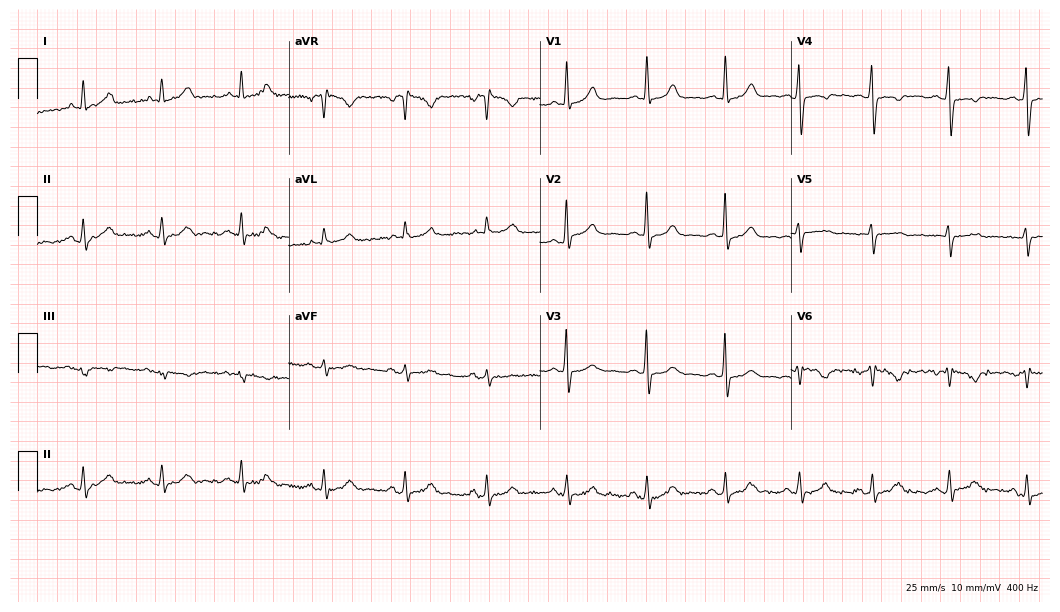
Resting 12-lead electrocardiogram (10.2-second recording at 400 Hz). Patient: a female, 53 years old. None of these six findings is recorded: first-degree AV block, right bundle branch block, left bundle branch block, sinus bradycardia, atrial fibrillation, sinus tachycardia. Only these six findings were labelled.